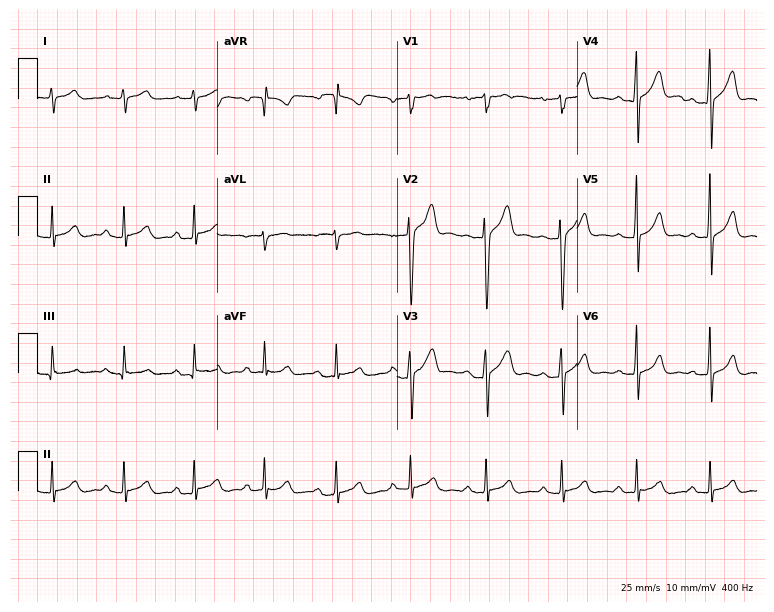
12-lead ECG (7.3-second recording at 400 Hz) from a 26-year-old male patient. Screened for six findings — first-degree AV block, right bundle branch block, left bundle branch block, sinus bradycardia, atrial fibrillation, sinus tachycardia — none is recorded.